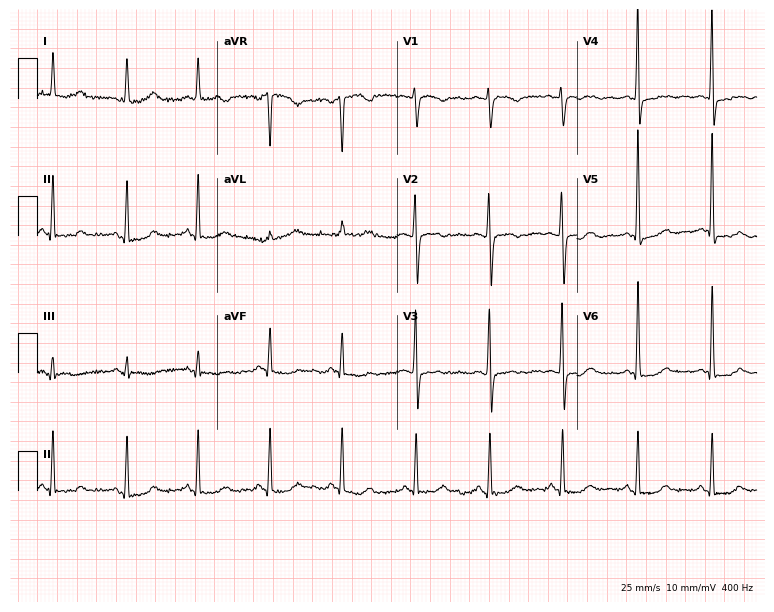
Standard 12-lead ECG recorded from a female patient, 54 years old (7.3-second recording at 400 Hz). Read as a normal ECG.